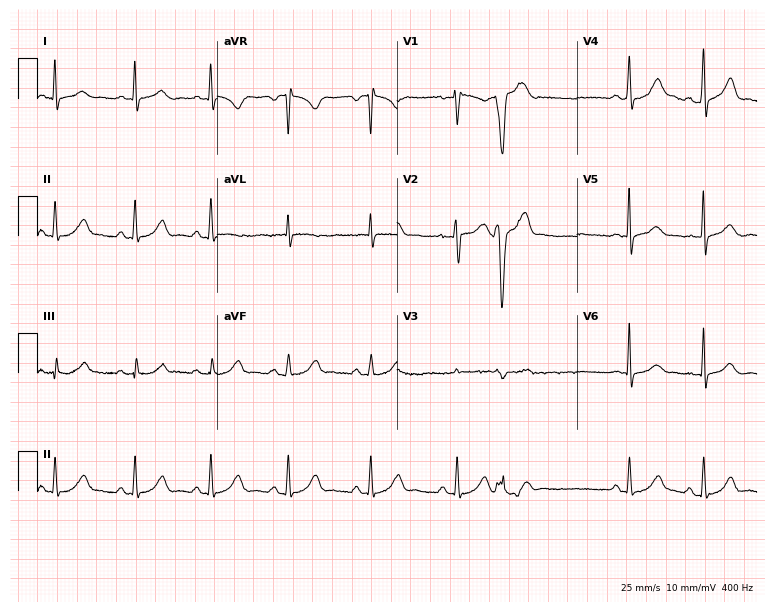
12-lead ECG from a 41-year-old woman (7.3-second recording at 400 Hz). No first-degree AV block, right bundle branch block (RBBB), left bundle branch block (LBBB), sinus bradycardia, atrial fibrillation (AF) or sinus tachycardia recorded for this tracing.